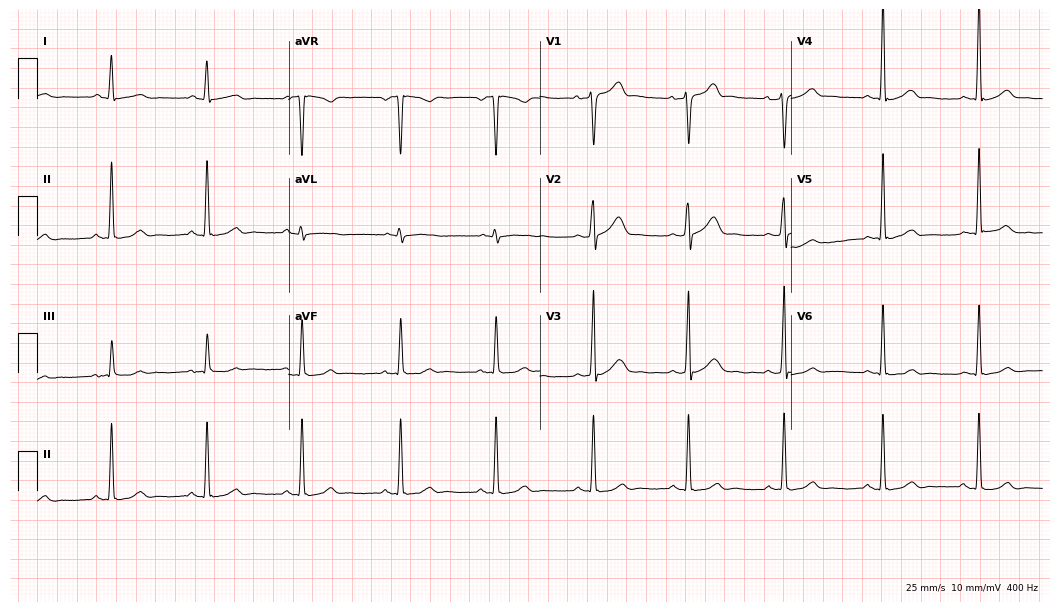
12-lead ECG from a male patient, 30 years old. Screened for six findings — first-degree AV block, right bundle branch block (RBBB), left bundle branch block (LBBB), sinus bradycardia, atrial fibrillation (AF), sinus tachycardia — none is recorded.